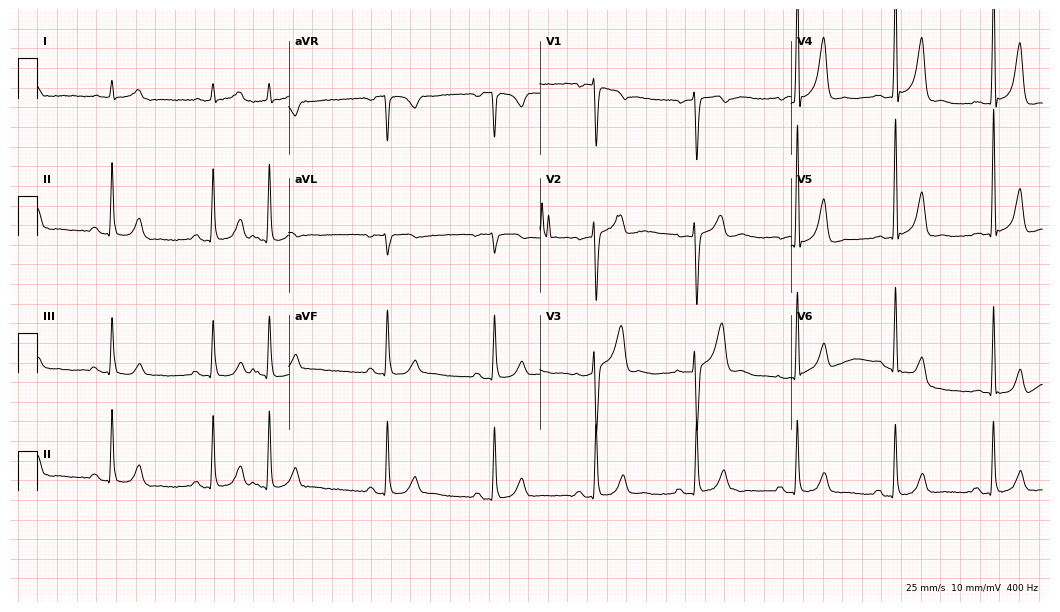
Electrocardiogram (10.2-second recording at 400 Hz), a man, 72 years old. Of the six screened findings (first-degree AV block, right bundle branch block, left bundle branch block, sinus bradycardia, atrial fibrillation, sinus tachycardia), none is recorded. Findings outside these six are not listed.